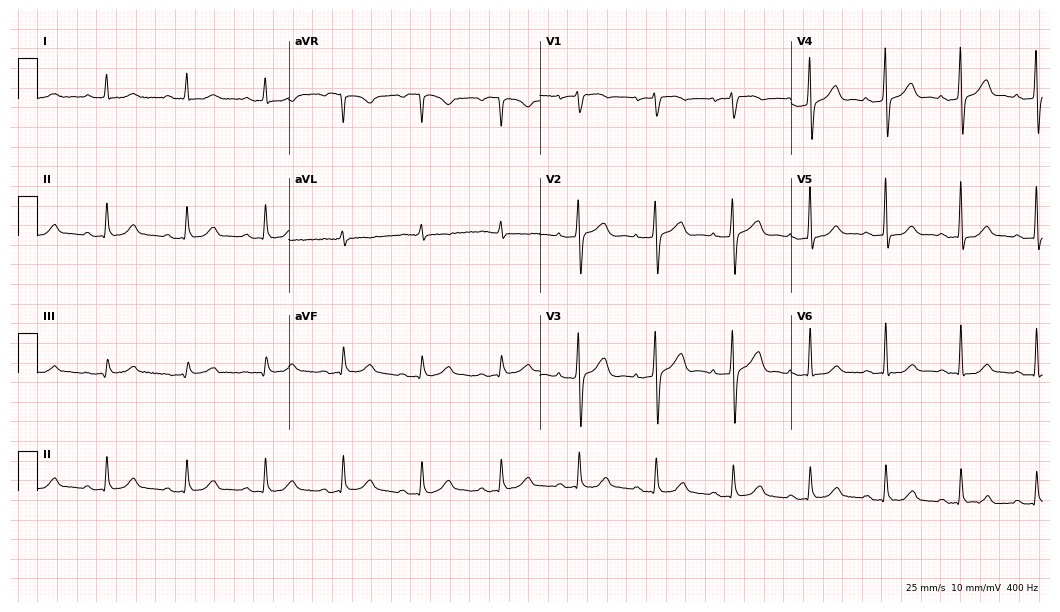
Standard 12-lead ECG recorded from a 68-year-old woman (10.2-second recording at 400 Hz). Read as a normal ECG.